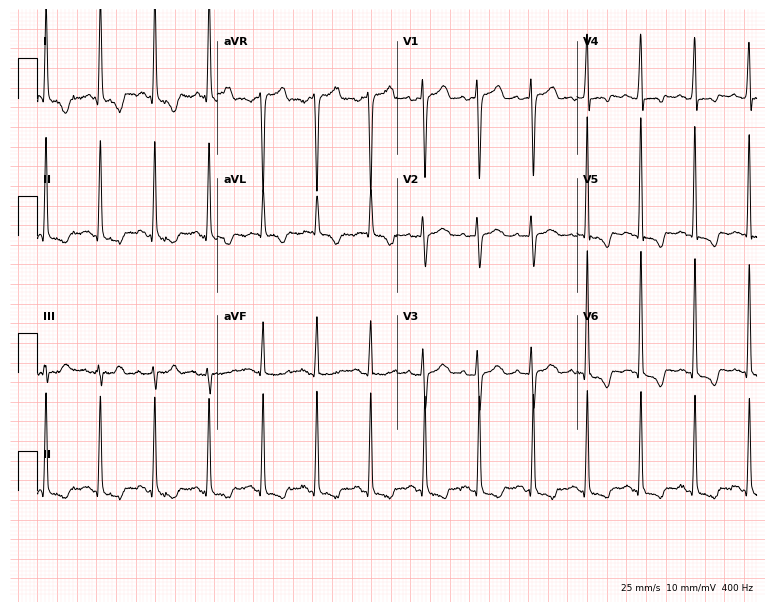
ECG — a female patient, 71 years old. Findings include sinus tachycardia (a sinus rate of 100 beats per minute or more).